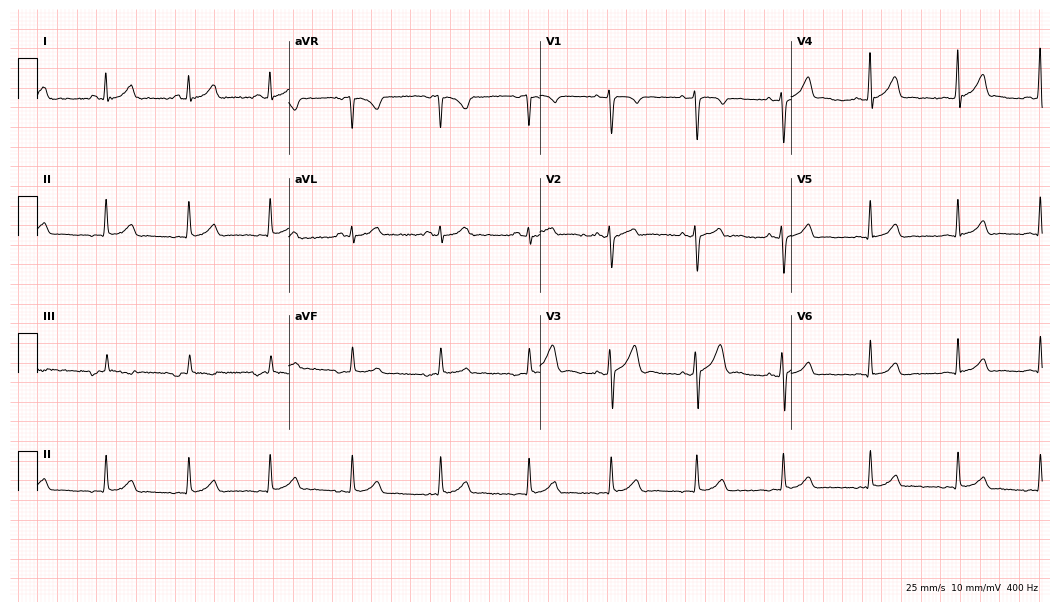
Standard 12-lead ECG recorded from a man, 22 years old. Read as a normal ECG.